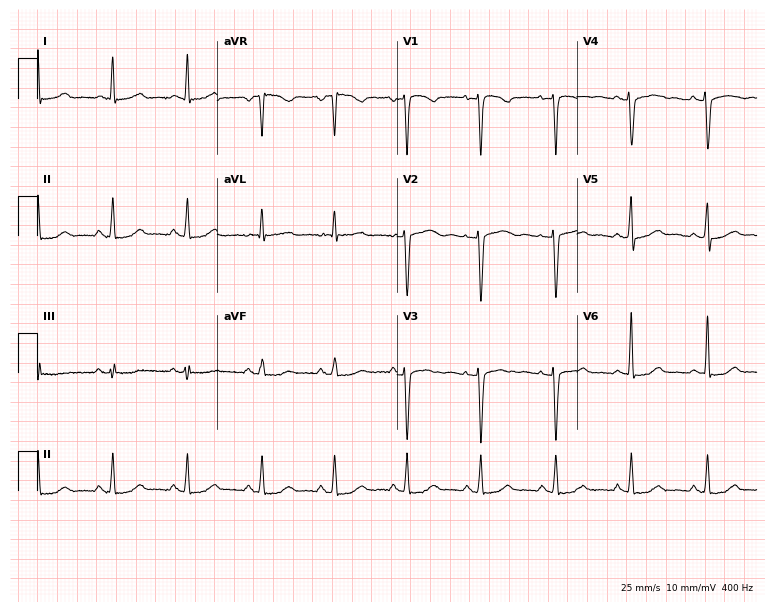
Standard 12-lead ECG recorded from a 47-year-old woman. None of these six findings is recorded: first-degree AV block, right bundle branch block (RBBB), left bundle branch block (LBBB), sinus bradycardia, atrial fibrillation (AF), sinus tachycardia.